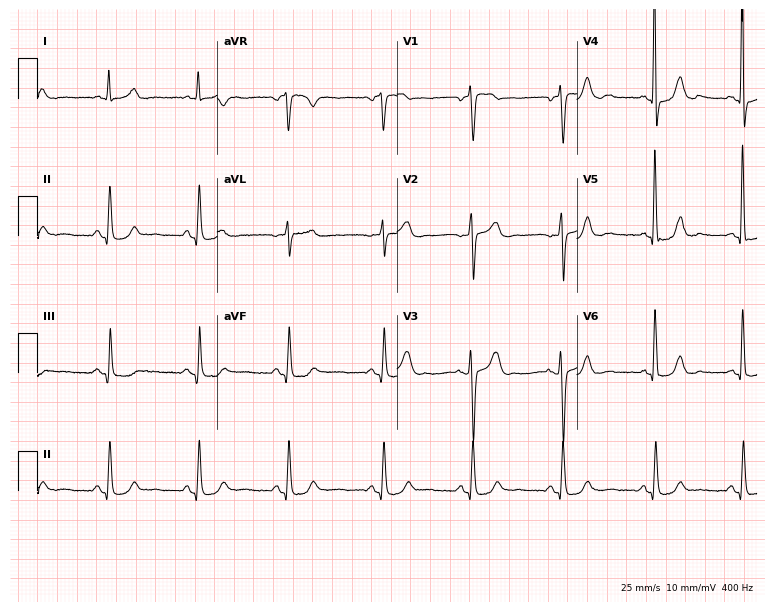
Resting 12-lead electrocardiogram (7.3-second recording at 400 Hz). Patient: a man, 74 years old. Read as a normal ECG.